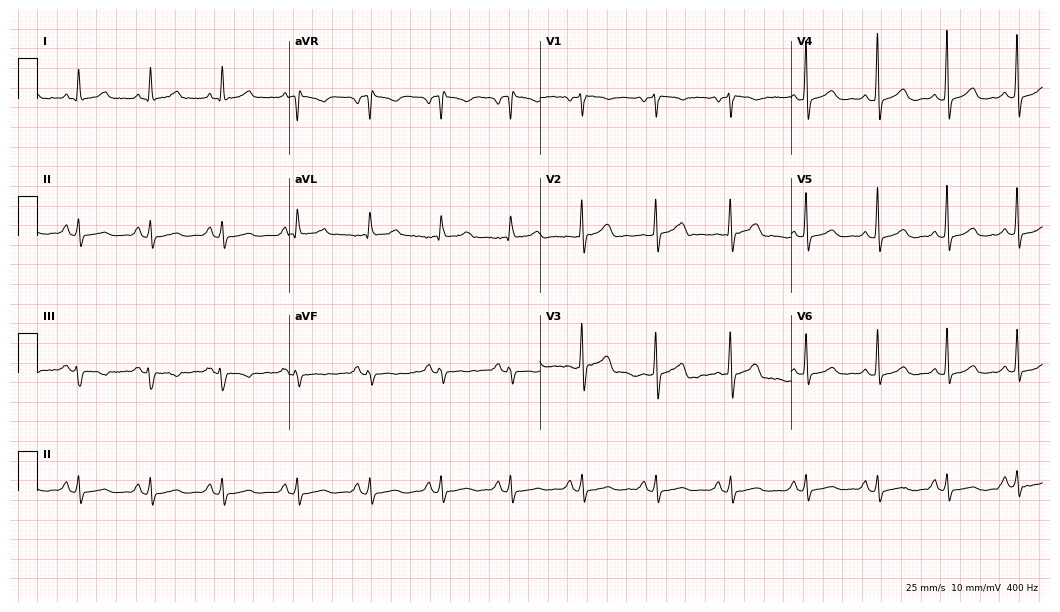
12-lead ECG from a woman, 31 years old (10.2-second recording at 400 Hz). Recorded interpretation: within normal limits.